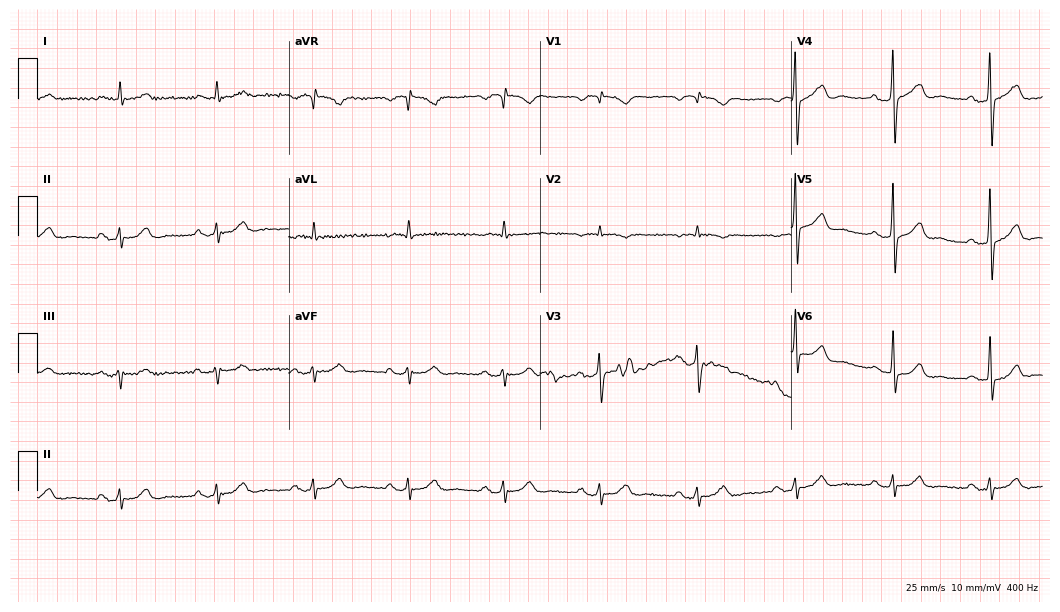
Standard 12-lead ECG recorded from a male patient, 78 years old (10.2-second recording at 400 Hz). The tracing shows first-degree AV block.